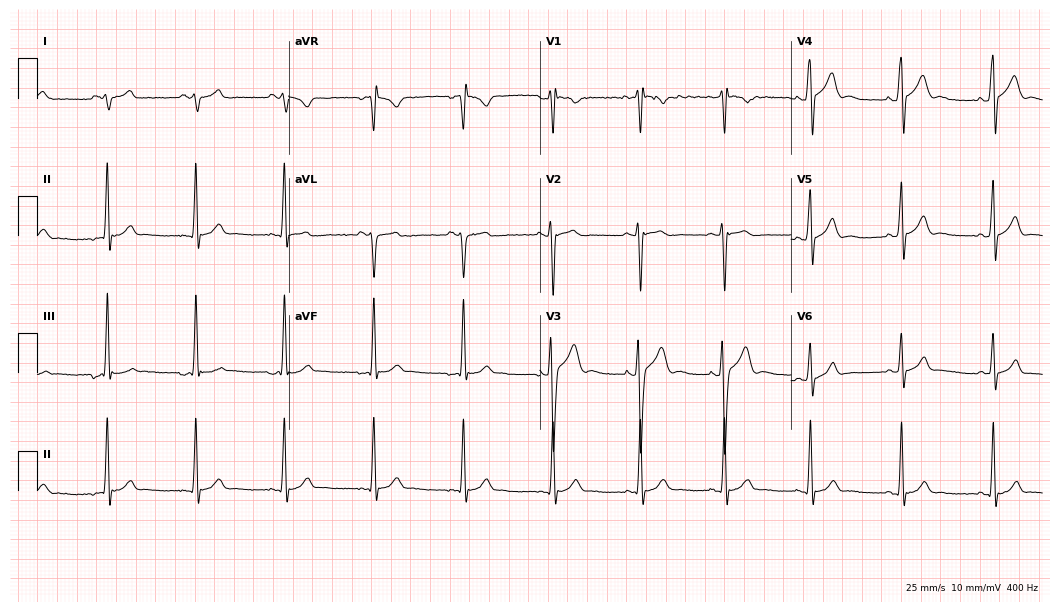
Resting 12-lead electrocardiogram. Patient: a 19-year-old male. None of these six findings is recorded: first-degree AV block, right bundle branch block, left bundle branch block, sinus bradycardia, atrial fibrillation, sinus tachycardia. Other findings, if any, are not listed.